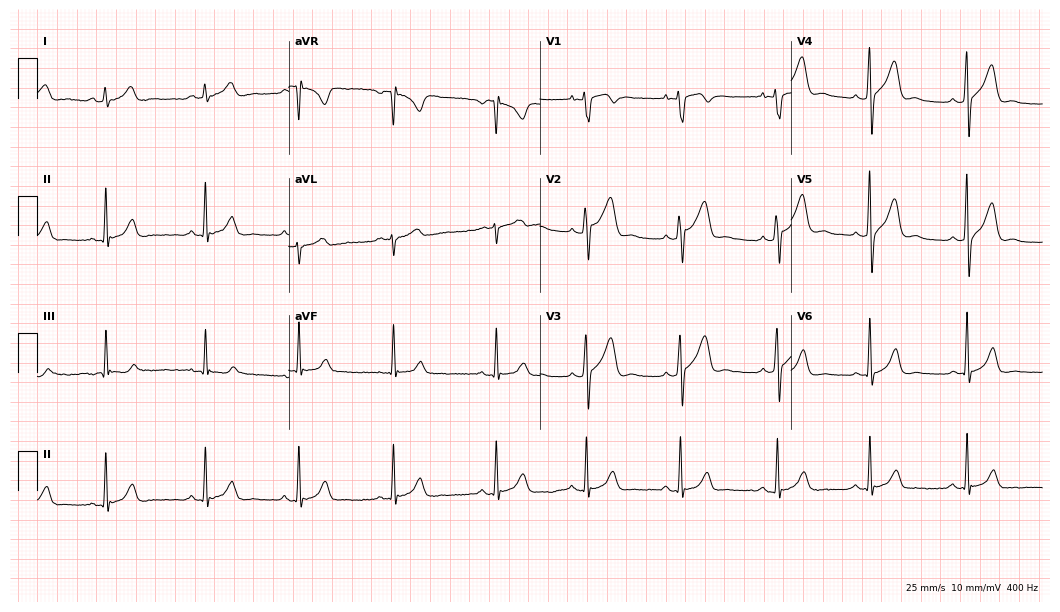
12-lead ECG from a man, 19 years old. Screened for six findings — first-degree AV block, right bundle branch block (RBBB), left bundle branch block (LBBB), sinus bradycardia, atrial fibrillation (AF), sinus tachycardia — none is recorded.